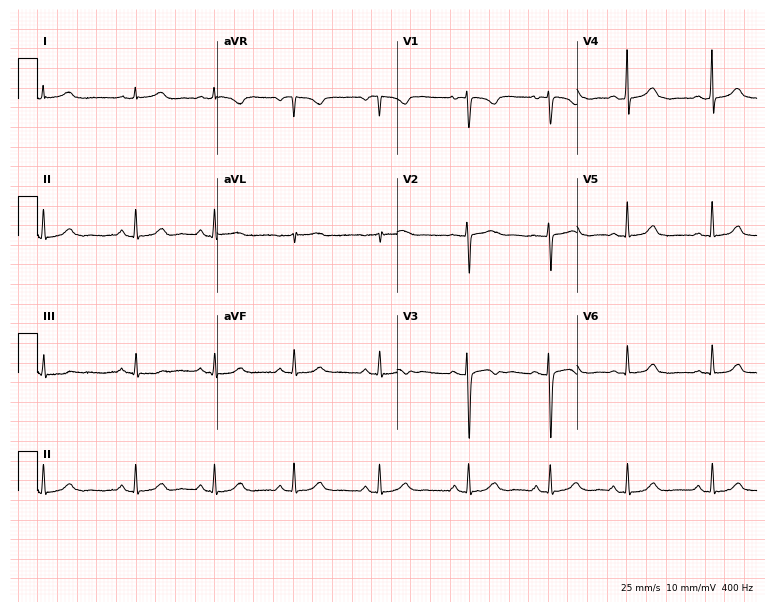
Electrocardiogram, a female, 25 years old. Of the six screened findings (first-degree AV block, right bundle branch block, left bundle branch block, sinus bradycardia, atrial fibrillation, sinus tachycardia), none is recorded.